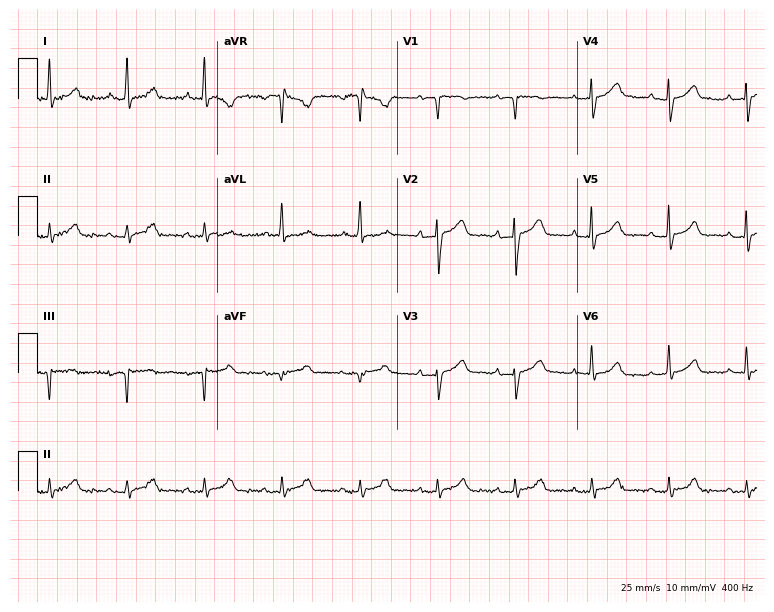
12-lead ECG from a 76-year-old female. Screened for six findings — first-degree AV block, right bundle branch block (RBBB), left bundle branch block (LBBB), sinus bradycardia, atrial fibrillation (AF), sinus tachycardia — none is recorded. Other findings, if any, are not listed.